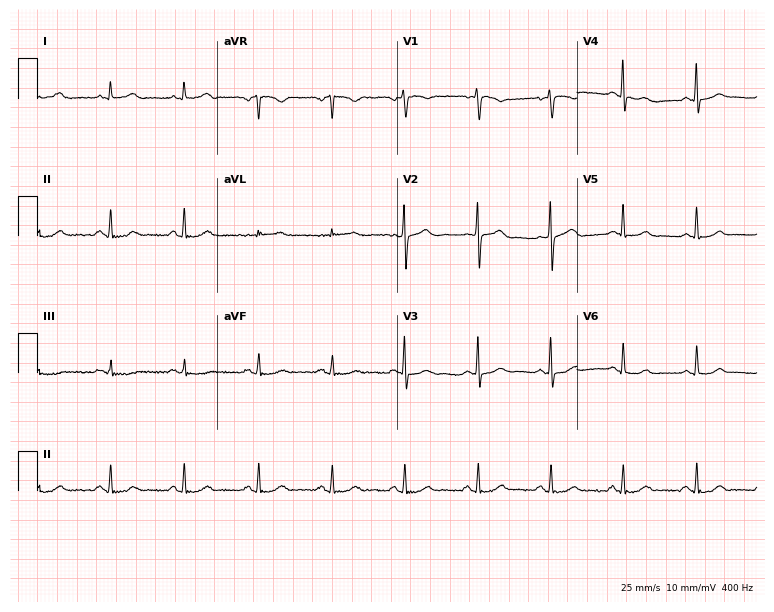
Standard 12-lead ECG recorded from a female, 44 years old (7.3-second recording at 400 Hz). Read as a normal ECG.